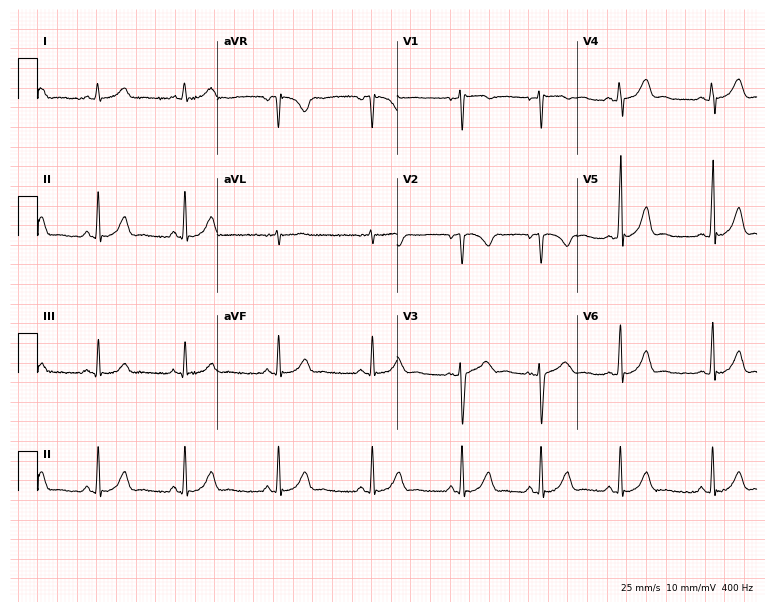
ECG (7.3-second recording at 400 Hz) — a 30-year-old female. Labelled as a normal ECG.